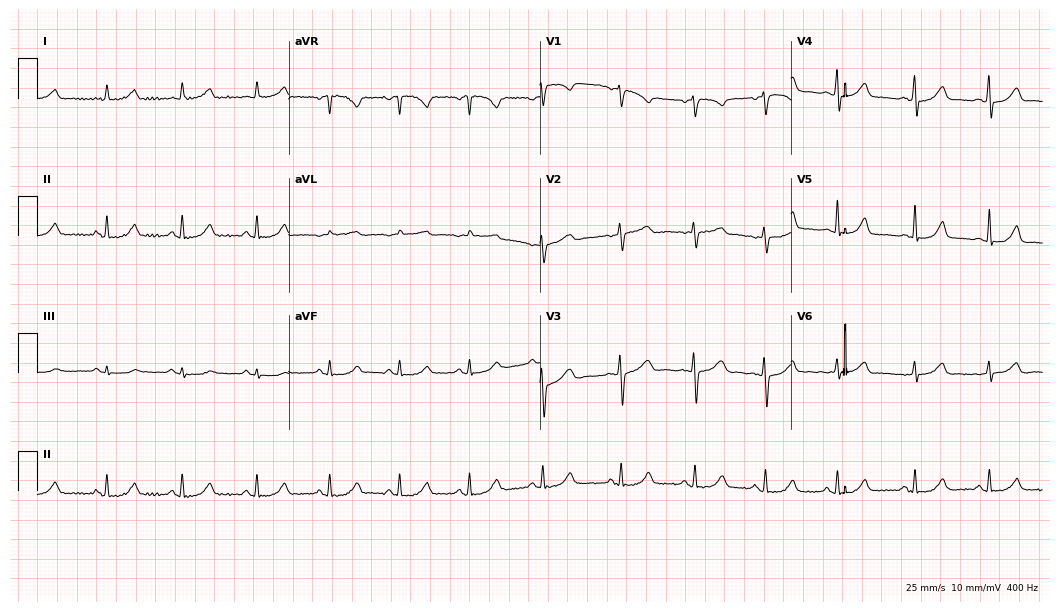
Standard 12-lead ECG recorded from a 51-year-old female (10.2-second recording at 400 Hz). Read as a normal ECG.